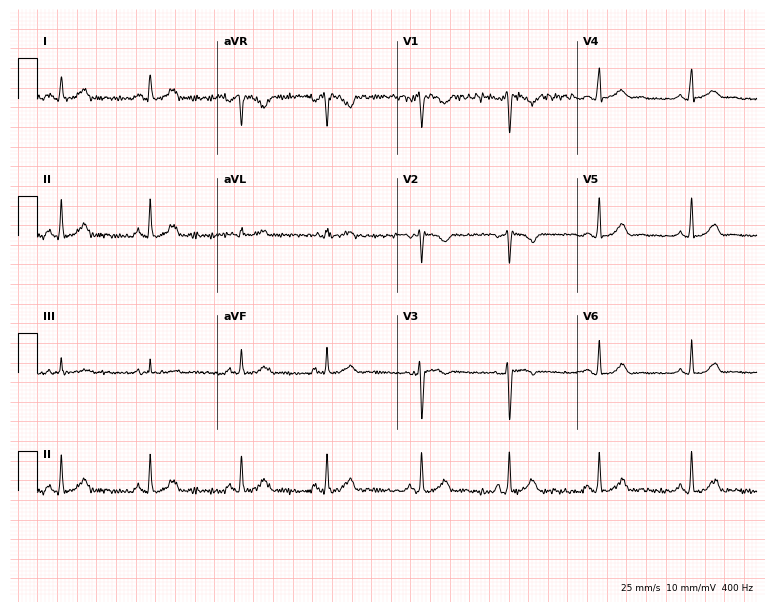
Resting 12-lead electrocardiogram. Patient: a 21-year-old female. None of these six findings is recorded: first-degree AV block, right bundle branch block, left bundle branch block, sinus bradycardia, atrial fibrillation, sinus tachycardia. Other findings, if any, are not listed.